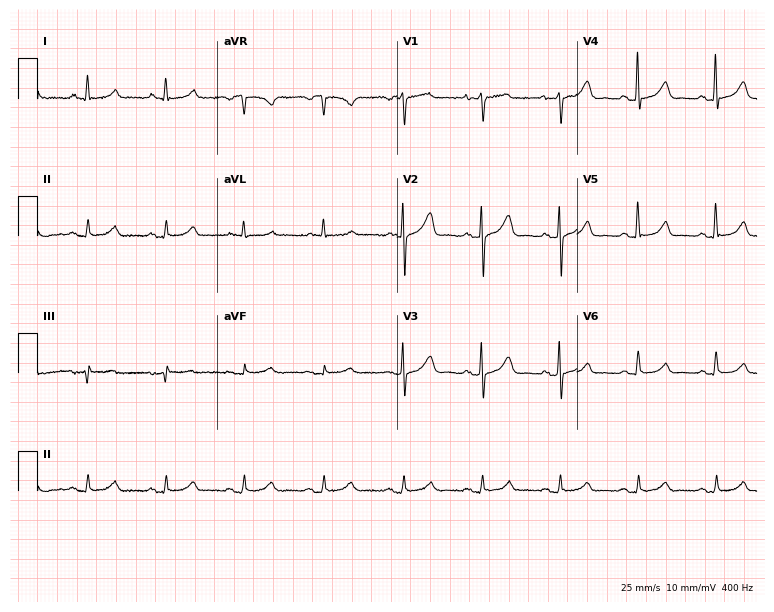
ECG (7.3-second recording at 400 Hz) — a female patient, 72 years old. Labelled as a normal ECG.